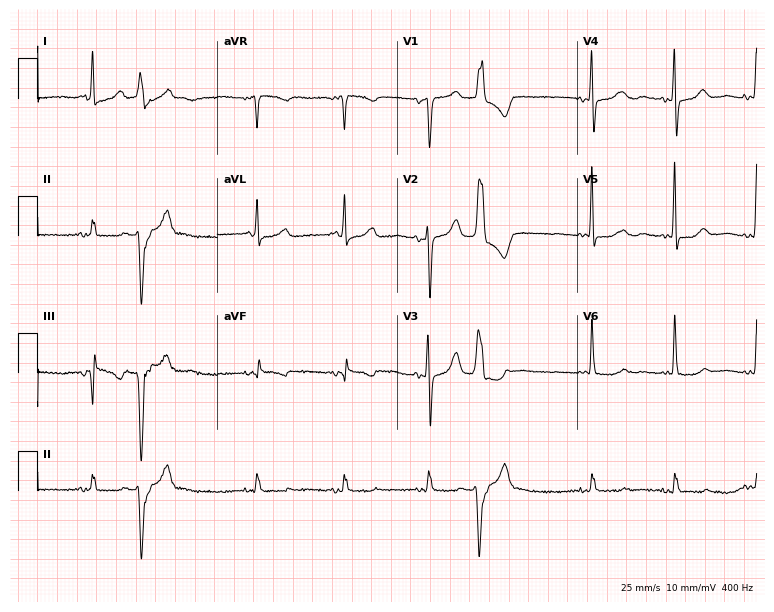
Resting 12-lead electrocardiogram. Patient: an 83-year-old female. Read as a normal ECG.